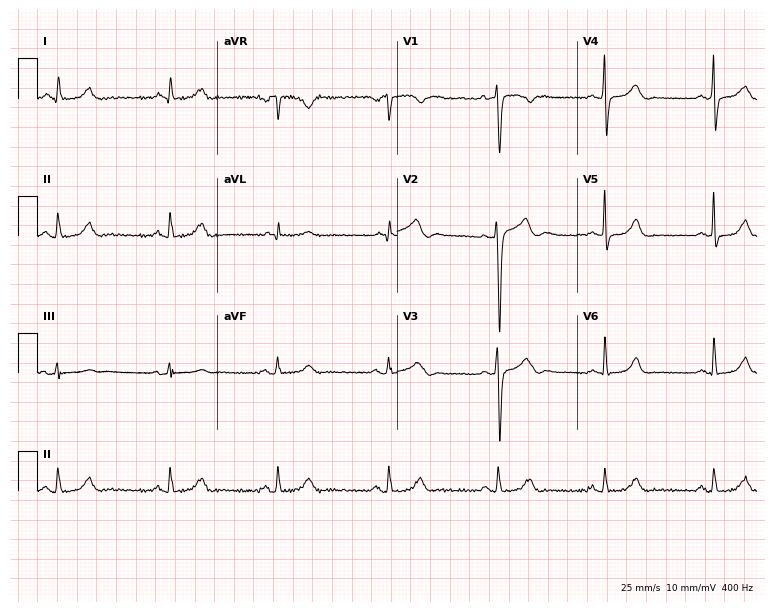
ECG (7.3-second recording at 400 Hz) — a 43-year-old male. Screened for six findings — first-degree AV block, right bundle branch block, left bundle branch block, sinus bradycardia, atrial fibrillation, sinus tachycardia — none is recorded. Only these six findings were labelled.